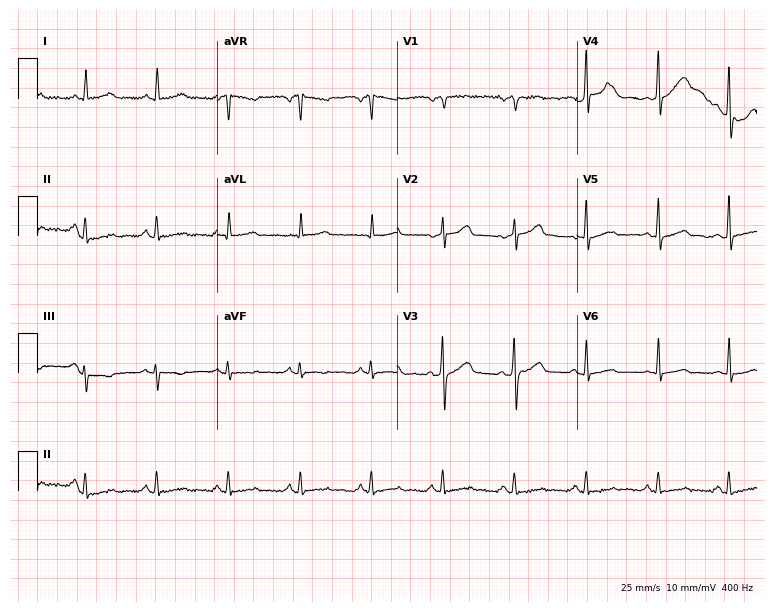
Standard 12-lead ECG recorded from a 58-year-old female. Read as a normal ECG.